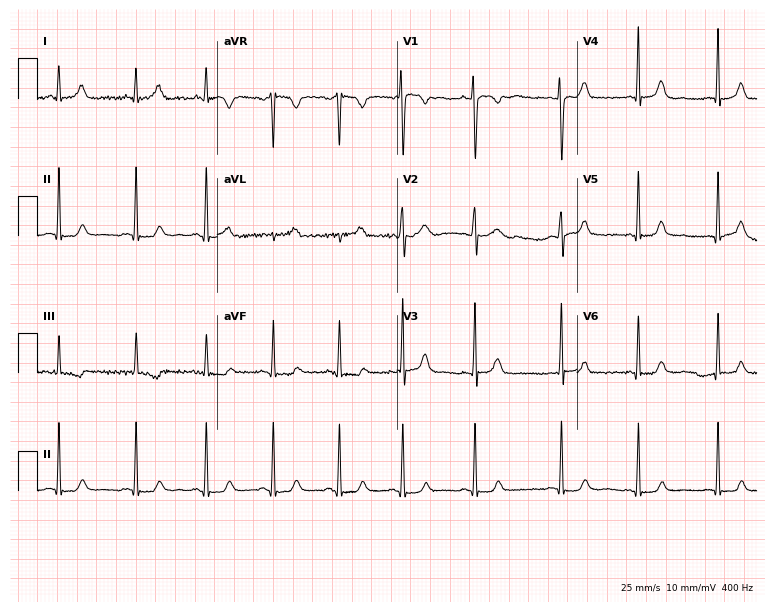
ECG — an 18-year-old female patient. Labelled as a normal ECG.